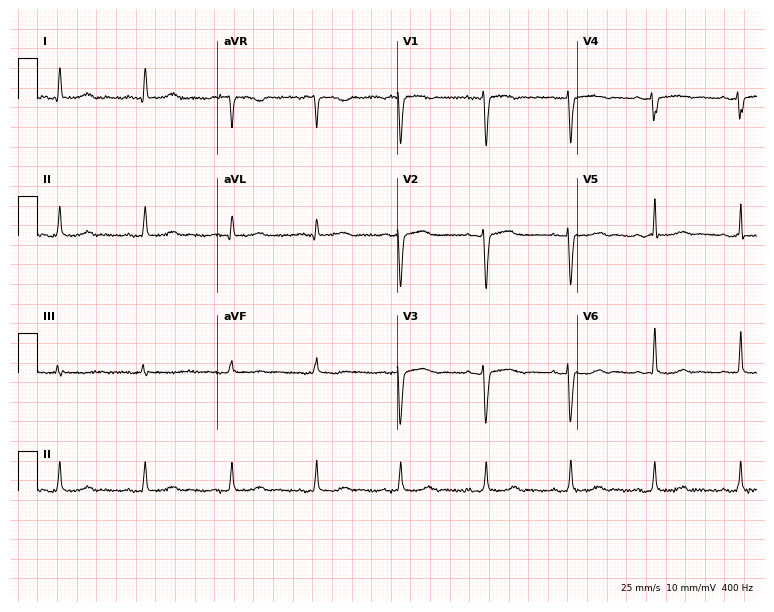
12-lead ECG from a 49-year-old female patient. Labelled as a normal ECG.